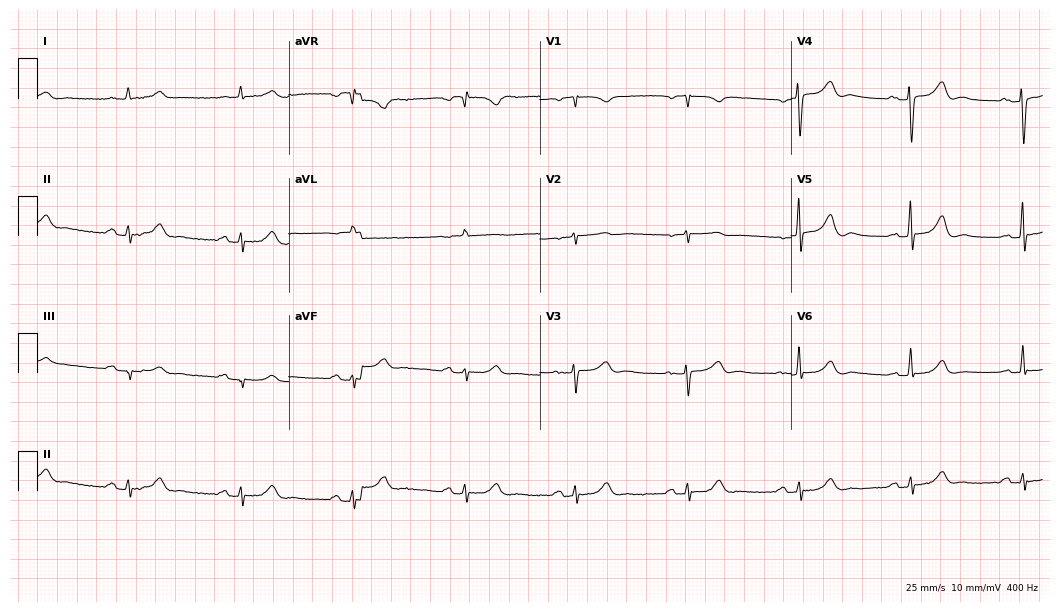
12-lead ECG from a 78-year-old female. Recorded interpretation: within normal limits.